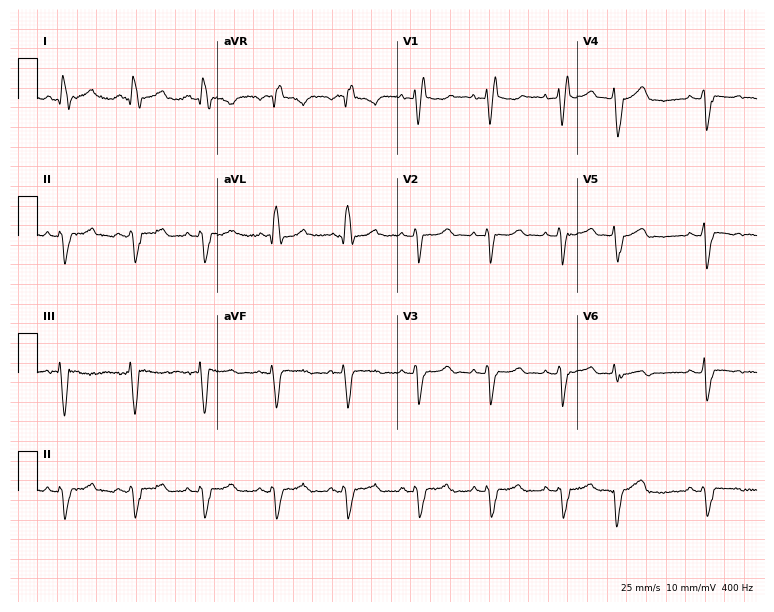
Electrocardiogram (7.3-second recording at 400 Hz), a woman, 72 years old. Interpretation includes right bundle branch block (RBBB).